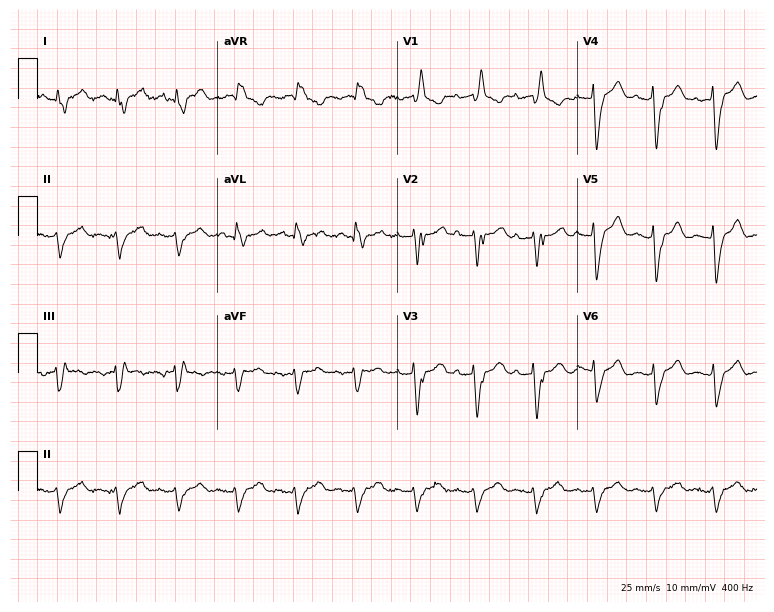
Standard 12-lead ECG recorded from a male, 74 years old (7.3-second recording at 400 Hz). The tracing shows right bundle branch block.